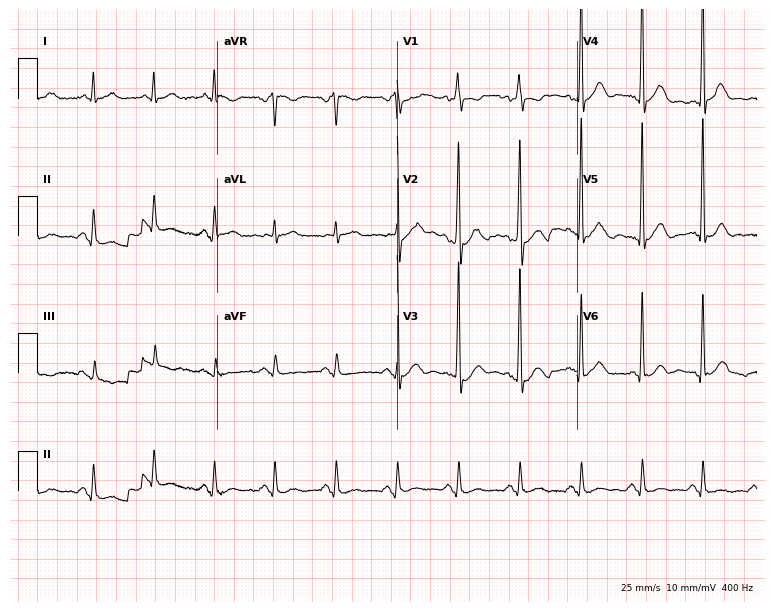
12-lead ECG from a 69-year-old male patient. Screened for six findings — first-degree AV block, right bundle branch block, left bundle branch block, sinus bradycardia, atrial fibrillation, sinus tachycardia — none is recorded. Other findings, if any, are not listed.